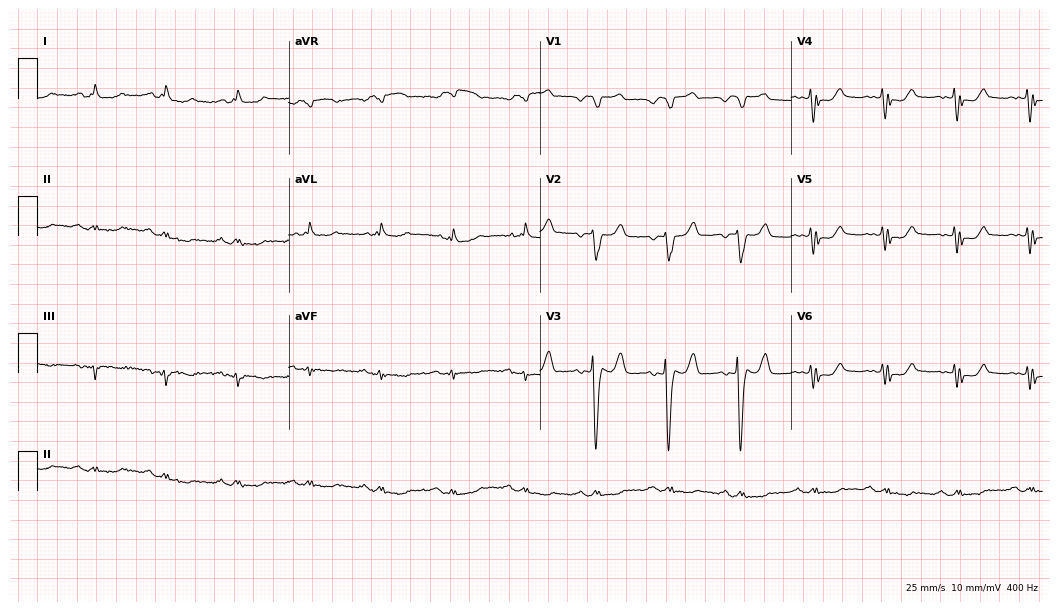
ECG (10.2-second recording at 400 Hz) — a male patient, 64 years old. Screened for six findings — first-degree AV block, right bundle branch block, left bundle branch block, sinus bradycardia, atrial fibrillation, sinus tachycardia — none is recorded.